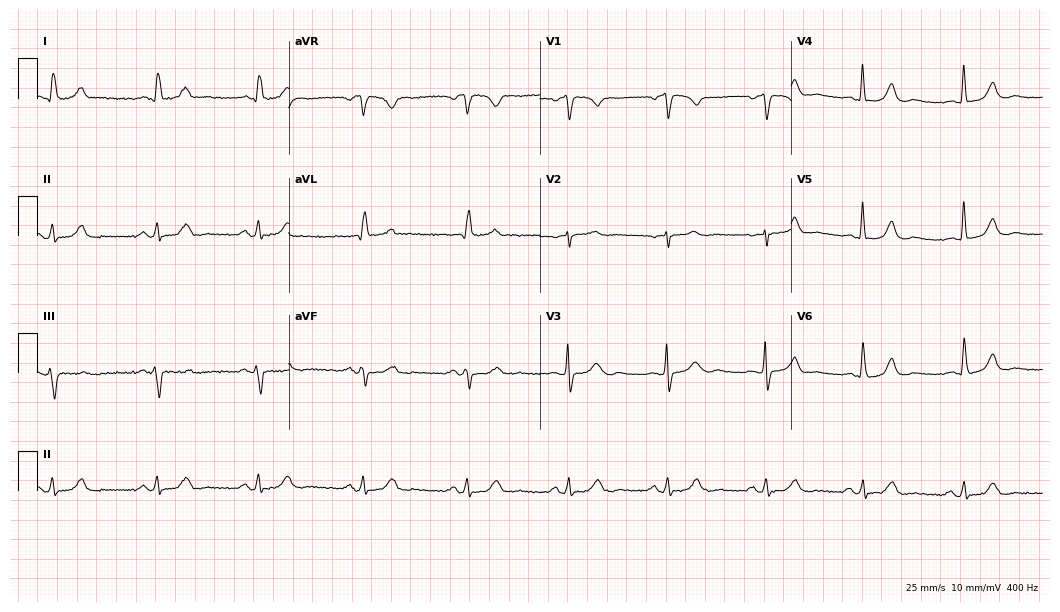
12-lead ECG from a 64-year-old female. Recorded interpretation: within normal limits.